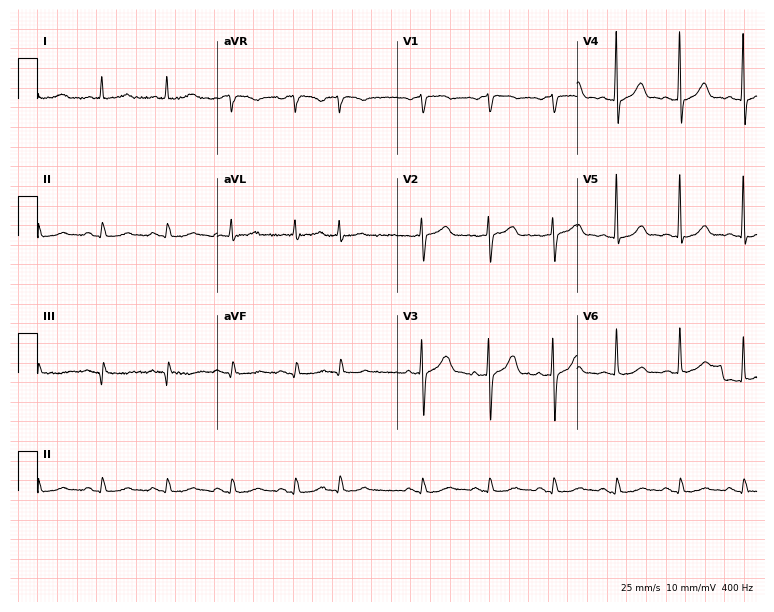
12-lead ECG from a male patient, 75 years old (7.3-second recording at 400 Hz). No first-degree AV block, right bundle branch block (RBBB), left bundle branch block (LBBB), sinus bradycardia, atrial fibrillation (AF) or sinus tachycardia recorded for this tracing.